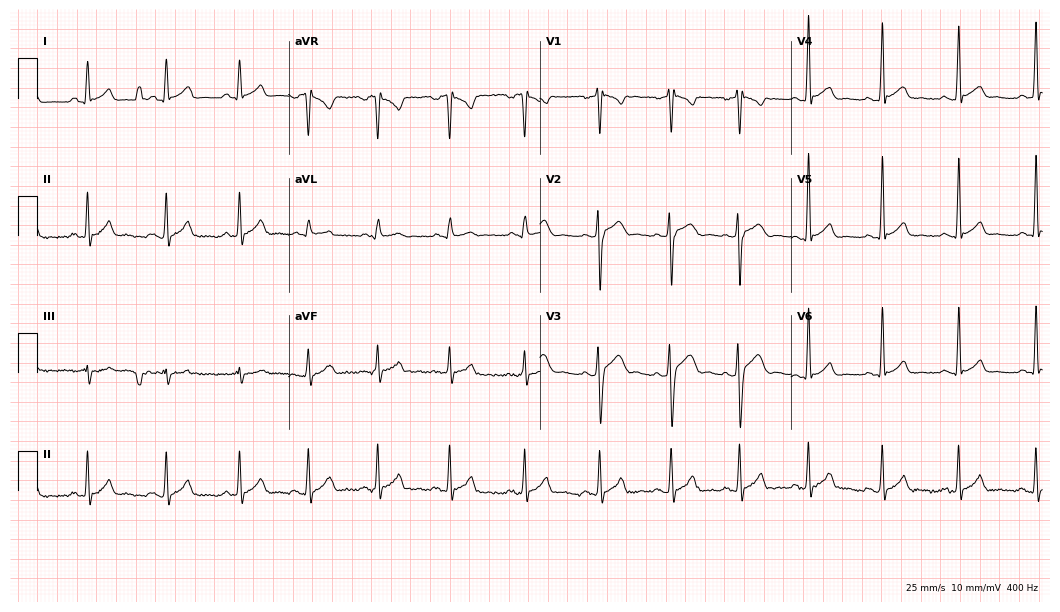
12-lead ECG from a 17-year-old male. Labelled as a normal ECG.